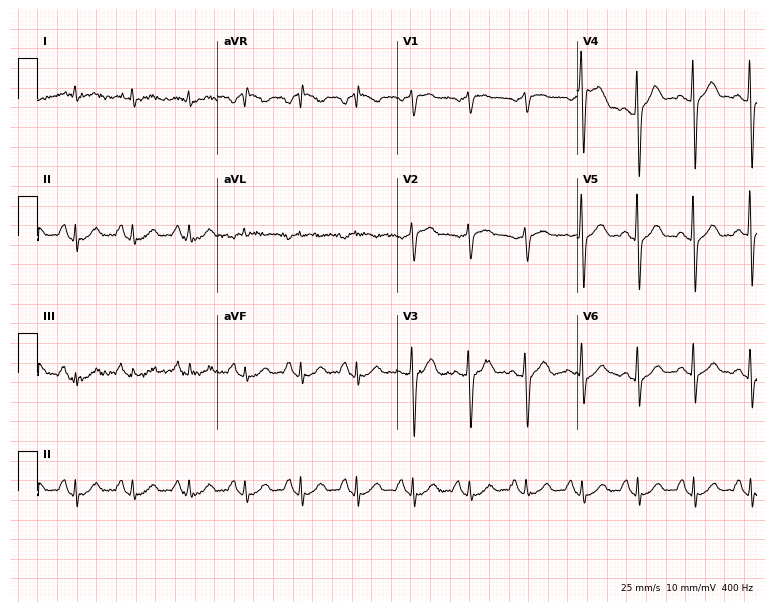
Standard 12-lead ECG recorded from a 72-year-old male. None of these six findings is recorded: first-degree AV block, right bundle branch block (RBBB), left bundle branch block (LBBB), sinus bradycardia, atrial fibrillation (AF), sinus tachycardia. Only these six findings were labelled.